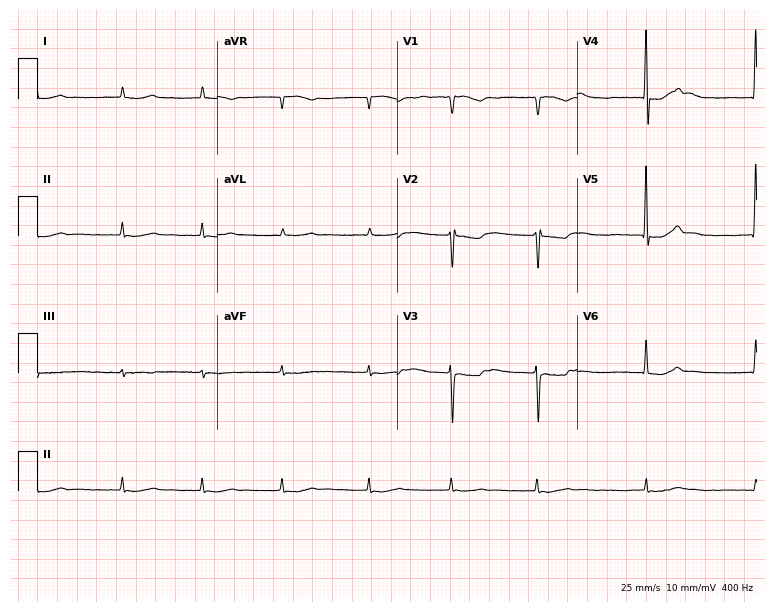
Electrocardiogram (7.3-second recording at 400 Hz), a male patient, 82 years old. Interpretation includes atrial fibrillation.